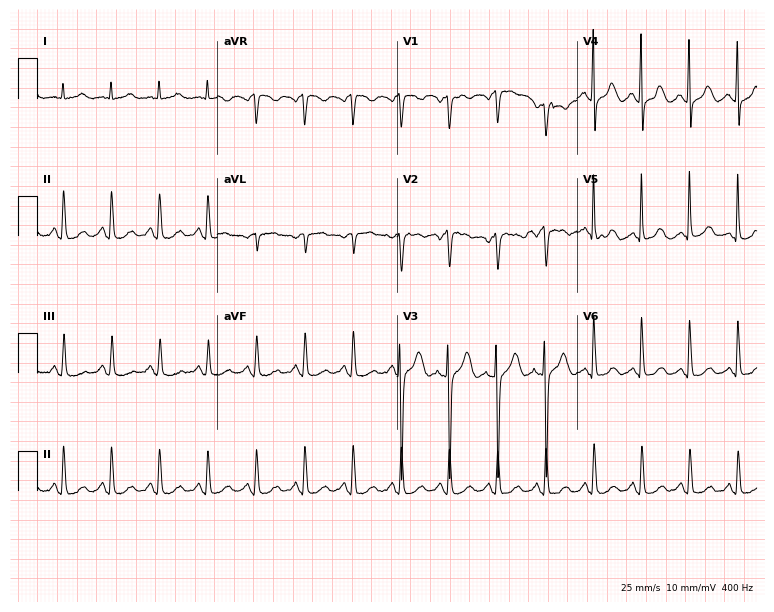
Electrocardiogram, an 81-year-old female. Interpretation includes sinus tachycardia (a sinus rate of 100 beats per minute or more).